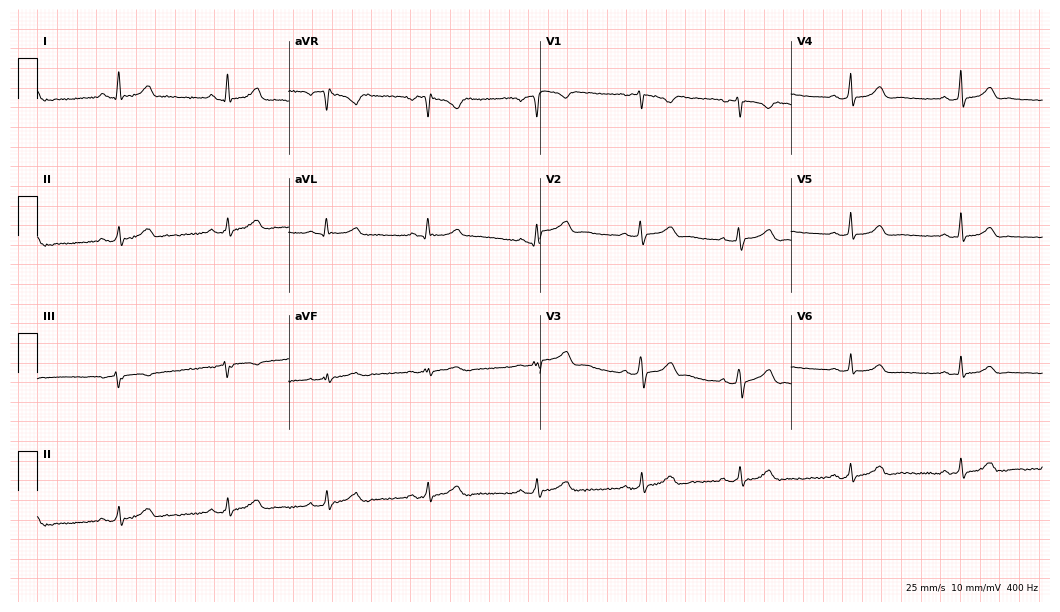
12-lead ECG from a 33-year-old woman. Labelled as a normal ECG.